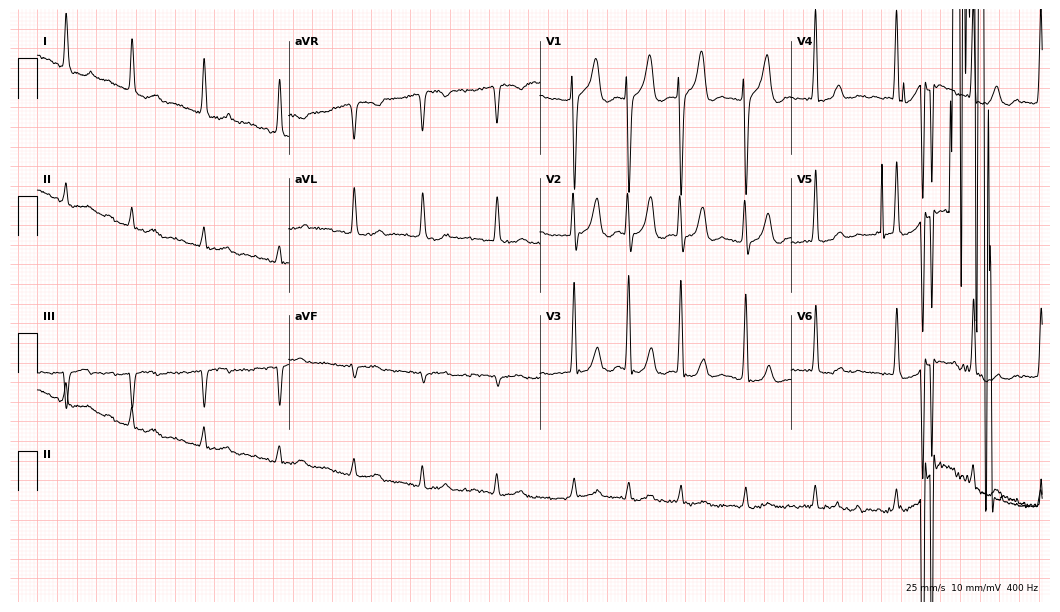
Standard 12-lead ECG recorded from a male, 82 years old (10.2-second recording at 400 Hz). The tracing shows atrial fibrillation.